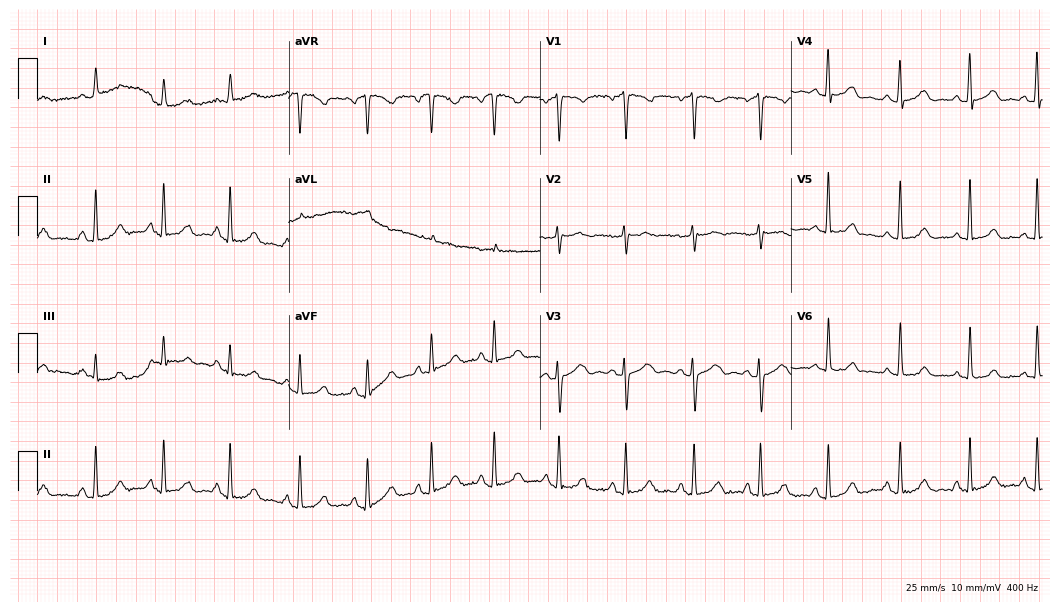
Electrocardiogram, a 39-year-old woman. Overall reading on record: normal ECG.